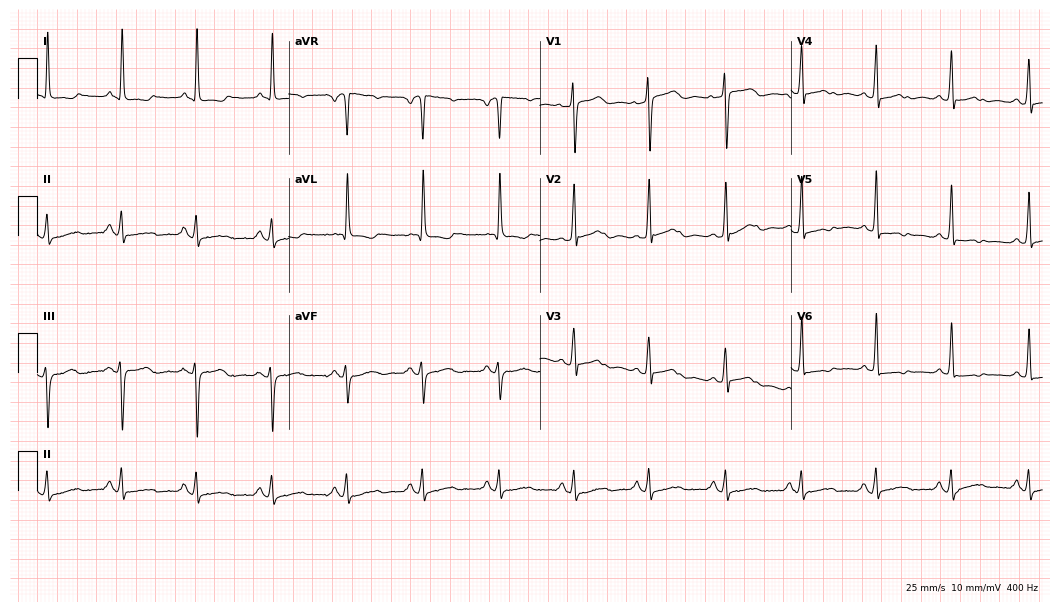
Resting 12-lead electrocardiogram (10.2-second recording at 400 Hz). Patient: a 76-year-old woman. None of these six findings is recorded: first-degree AV block, right bundle branch block, left bundle branch block, sinus bradycardia, atrial fibrillation, sinus tachycardia.